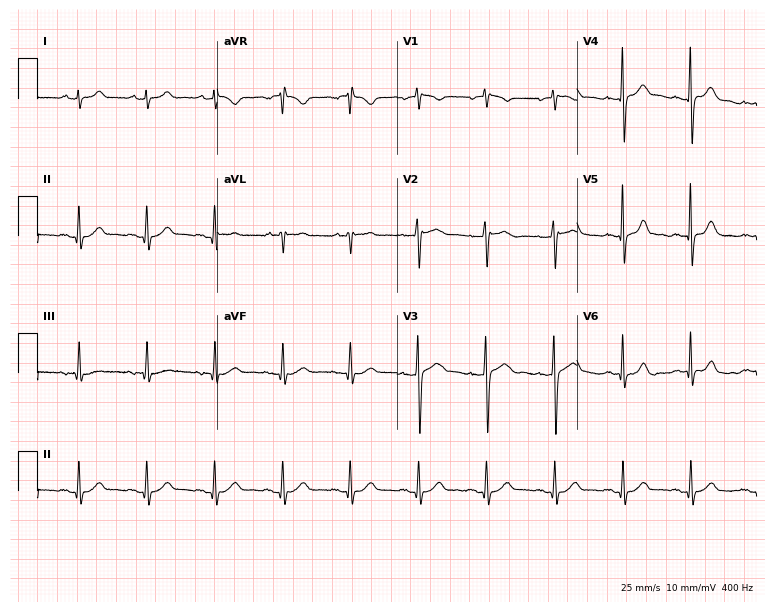
Standard 12-lead ECG recorded from a female patient, 70 years old. None of these six findings is recorded: first-degree AV block, right bundle branch block, left bundle branch block, sinus bradycardia, atrial fibrillation, sinus tachycardia.